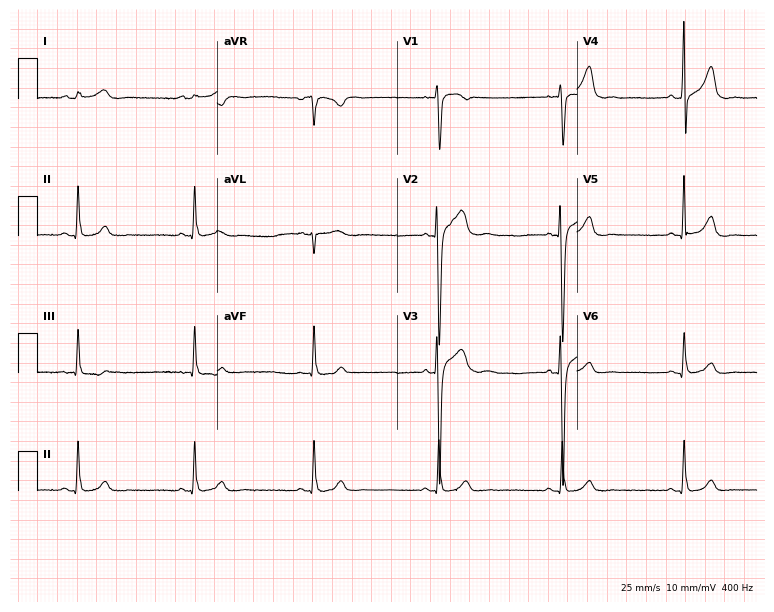
ECG — a male patient, 37 years old. Findings include sinus bradycardia (a sinus rate of 50 beats per minute or less).